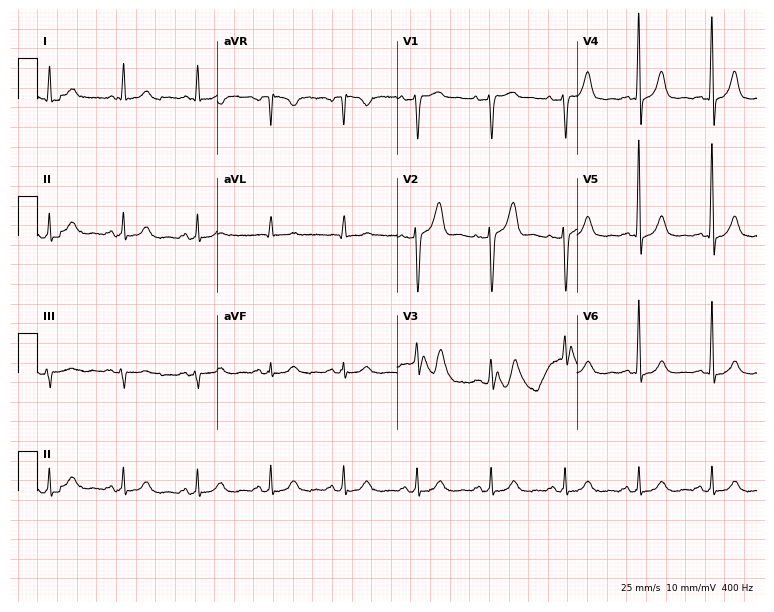
Electrocardiogram, a 56-year-old man. Overall reading on record: normal ECG.